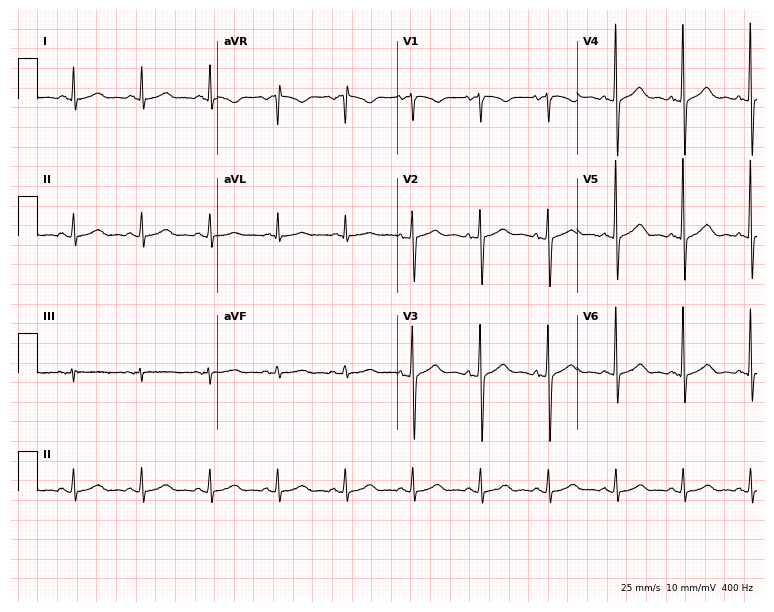
Electrocardiogram (7.3-second recording at 400 Hz), a 52-year-old woman. Overall reading on record: normal ECG.